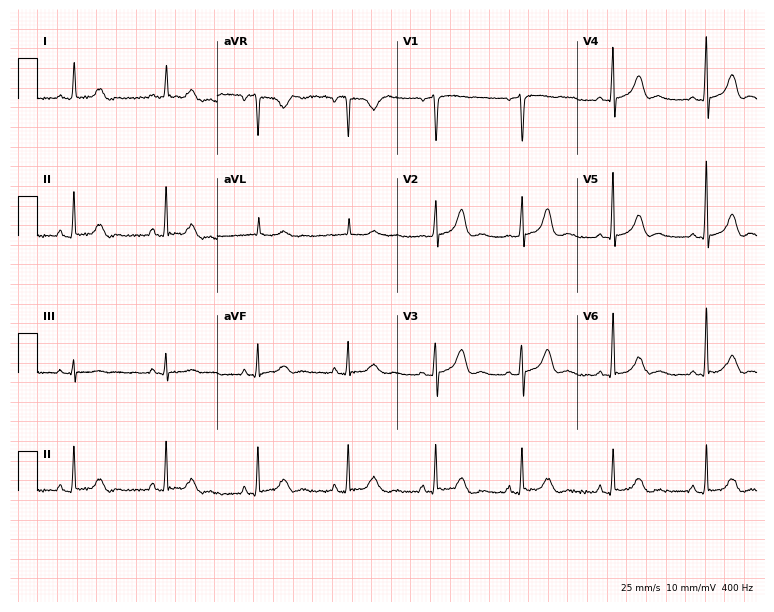
12-lead ECG from a 74-year-old female patient. Labelled as a normal ECG.